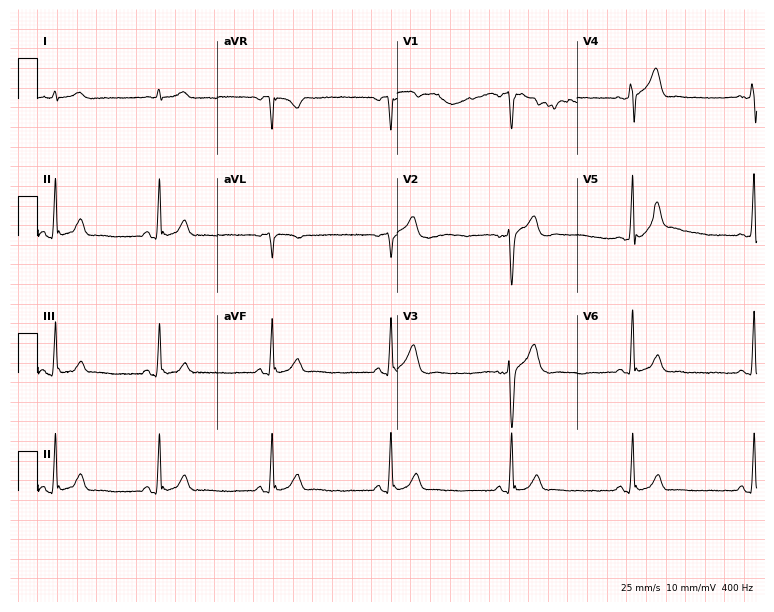
ECG (7.3-second recording at 400 Hz) — a 54-year-old male patient. Findings include sinus bradycardia (a sinus rate of 50 beats per minute or less).